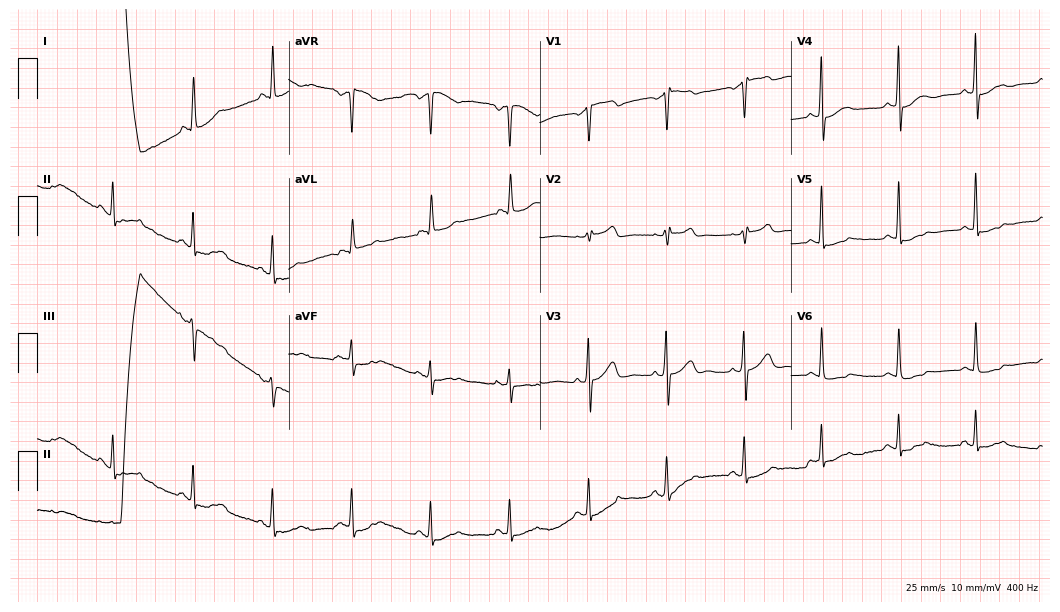
ECG (10.2-second recording at 400 Hz) — a woman, 60 years old. Screened for six findings — first-degree AV block, right bundle branch block (RBBB), left bundle branch block (LBBB), sinus bradycardia, atrial fibrillation (AF), sinus tachycardia — none is recorded. Only these six findings were labelled.